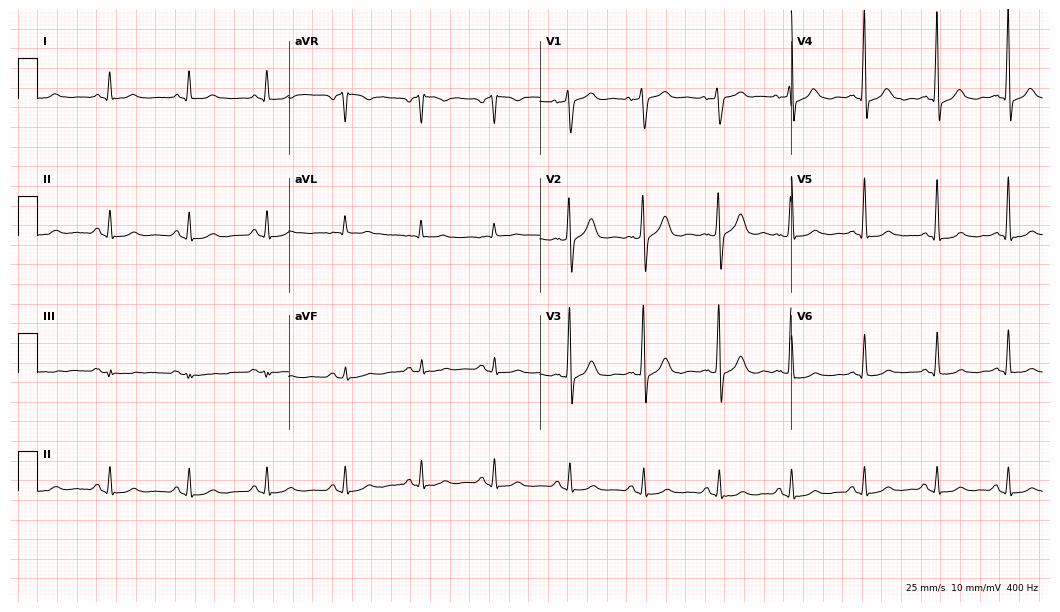
12-lead ECG from a 65-year-old male patient. No first-degree AV block, right bundle branch block (RBBB), left bundle branch block (LBBB), sinus bradycardia, atrial fibrillation (AF) or sinus tachycardia recorded for this tracing. Other findings, if any, are not listed.